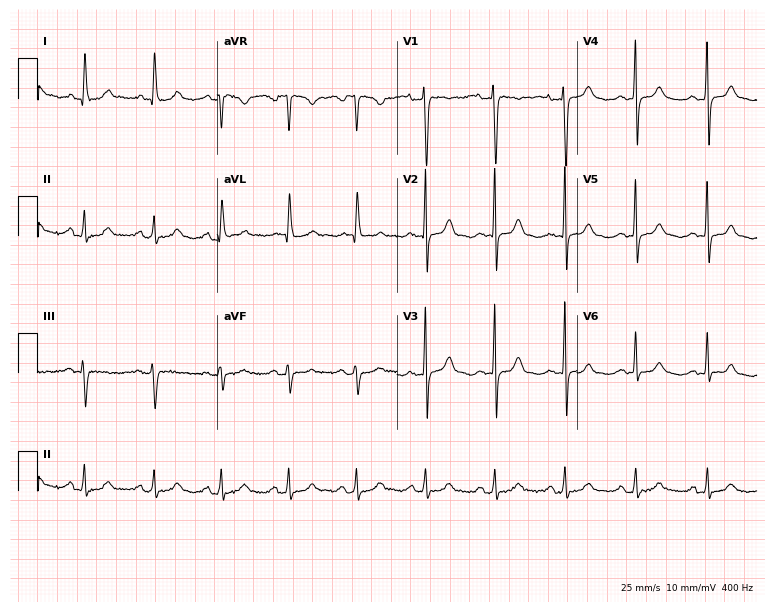
Electrocardiogram (7.3-second recording at 400 Hz), a female patient, 71 years old. Of the six screened findings (first-degree AV block, right bundle branch block (RBBB), left bundle branch block (LBBB), sinus bradycardia, atrial fibrillation (AF), sinus tachycardia), none is recorded.